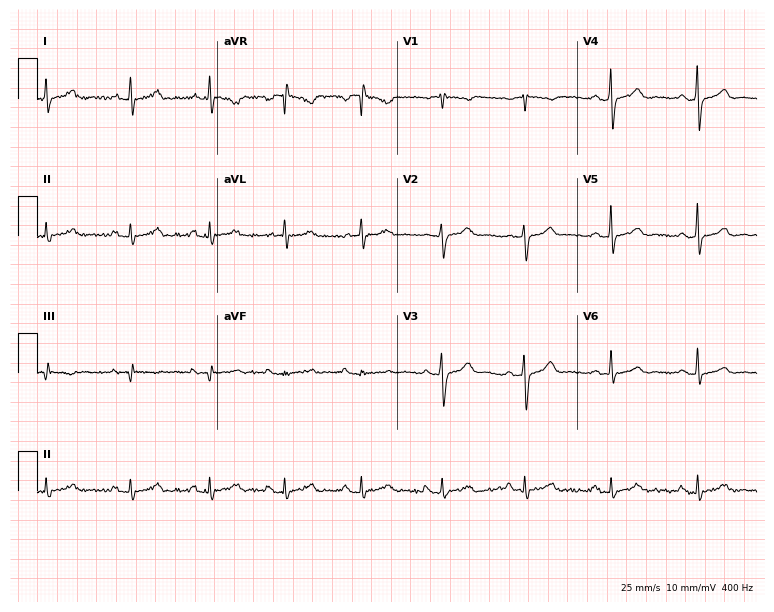
Standard 12-lead ECG recorded from a 63-year-old male (7.3-second recording at 400 Hz). Read as a normal ECG.